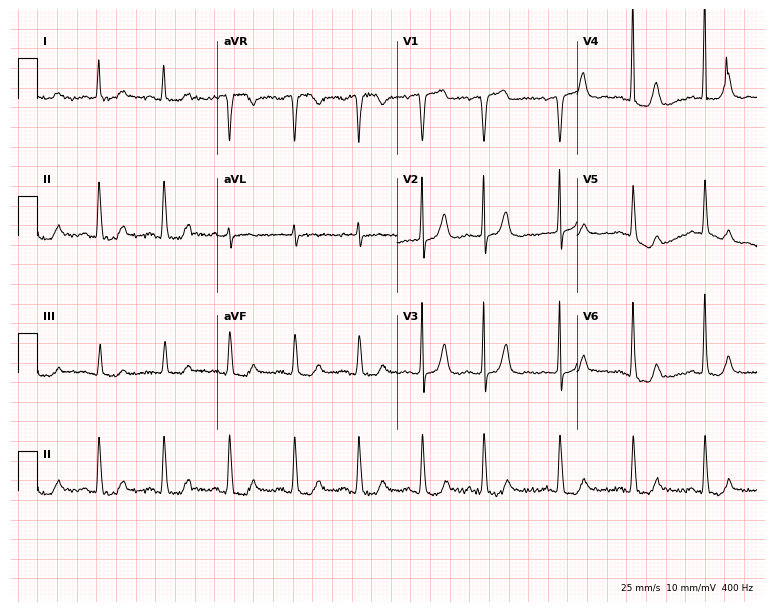
Resting 12-lead electrocardiogram. Patient: an 83-year-old woman. None of these six findings is recorded: first-degree AV block, right bundle branch block (RBBB), left bundle branch block (LBBB), sinus bradycardia, atrial fibrillation (AF), sinus tachycardia.